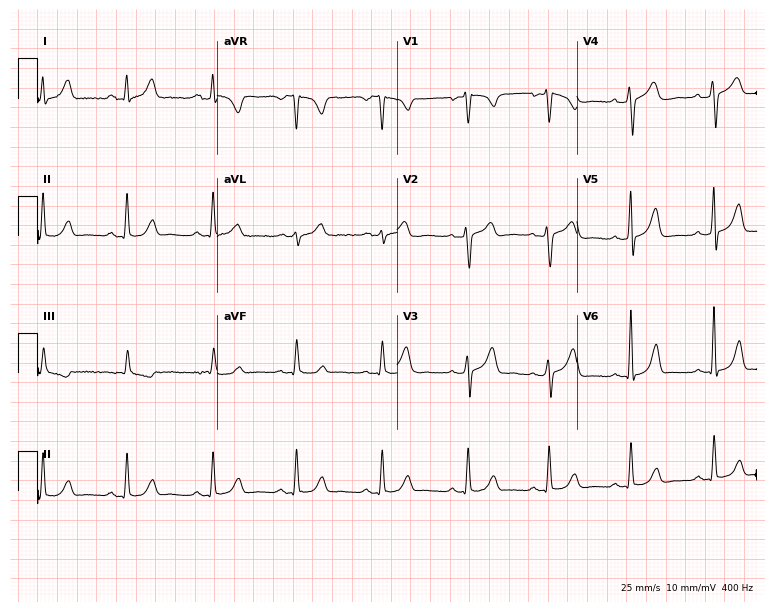
12-lead ECG from a female patient, 25 years old (7.3-second recording at 400 Hz). No first-degree AV block, right bundle branch block (RBBB), left bundle branch block (LBBB), sinus bradycardia, atrial fibrillation (AF) or sinus tachycardia recorded for this tracing.